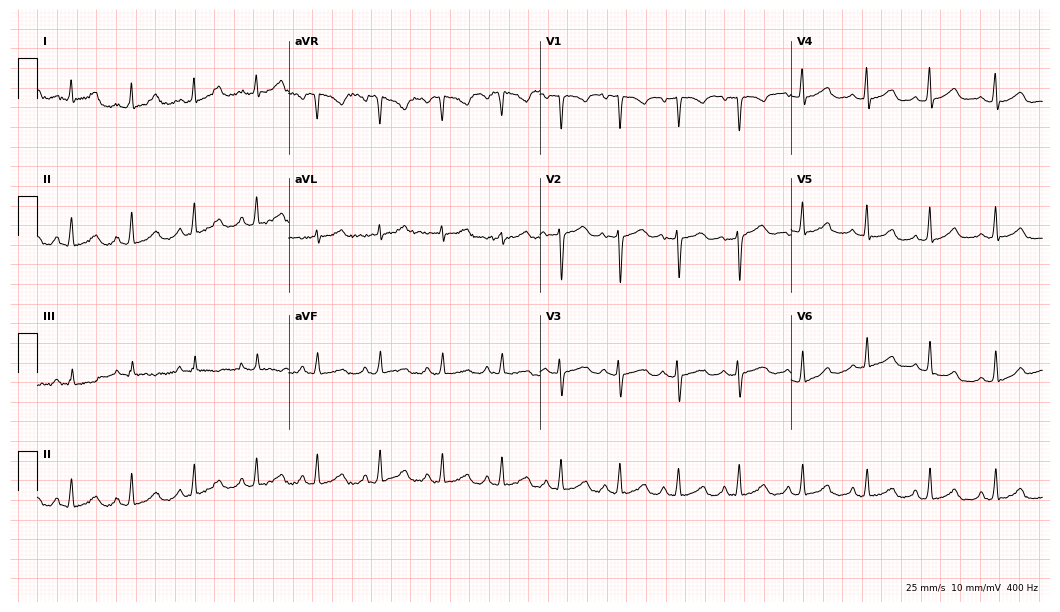
Electrocardiogram, a 24-year-old woman. Overall reading on record: normal ECG.